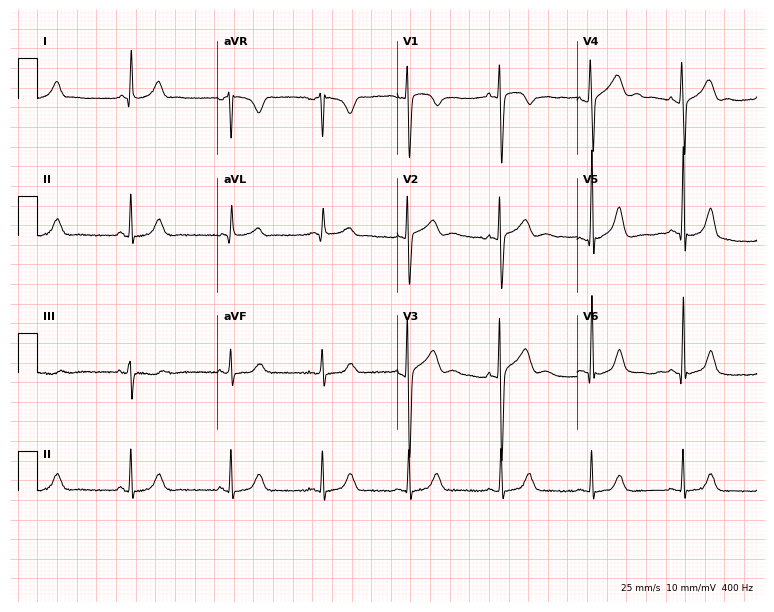
ECG — a 30-year-old man. Labelled as a normal ECG.